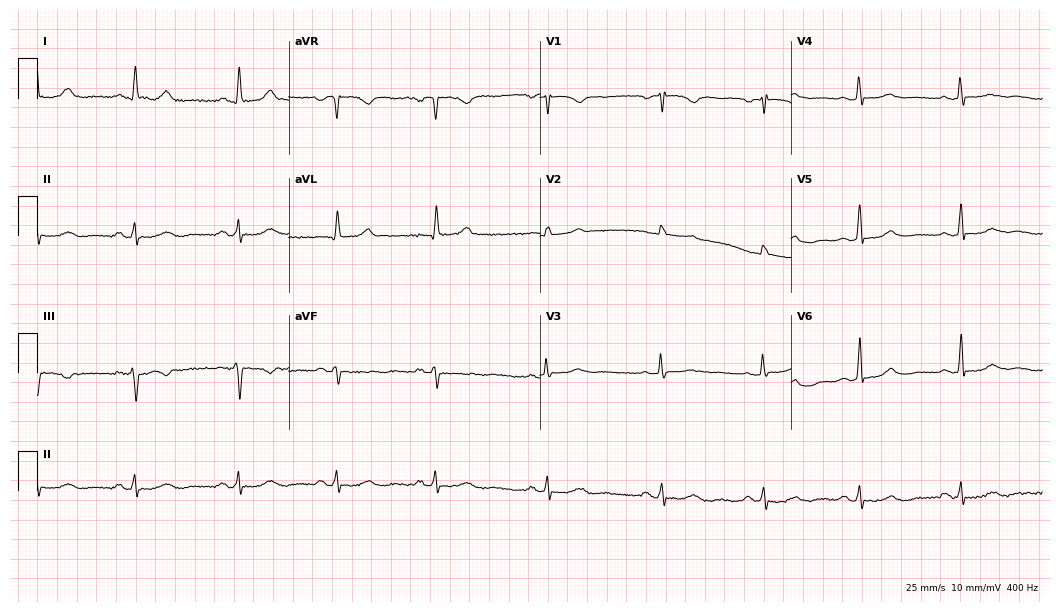
12-lead ECG from a woman, 70 years old. Labelled as a normal ECG.